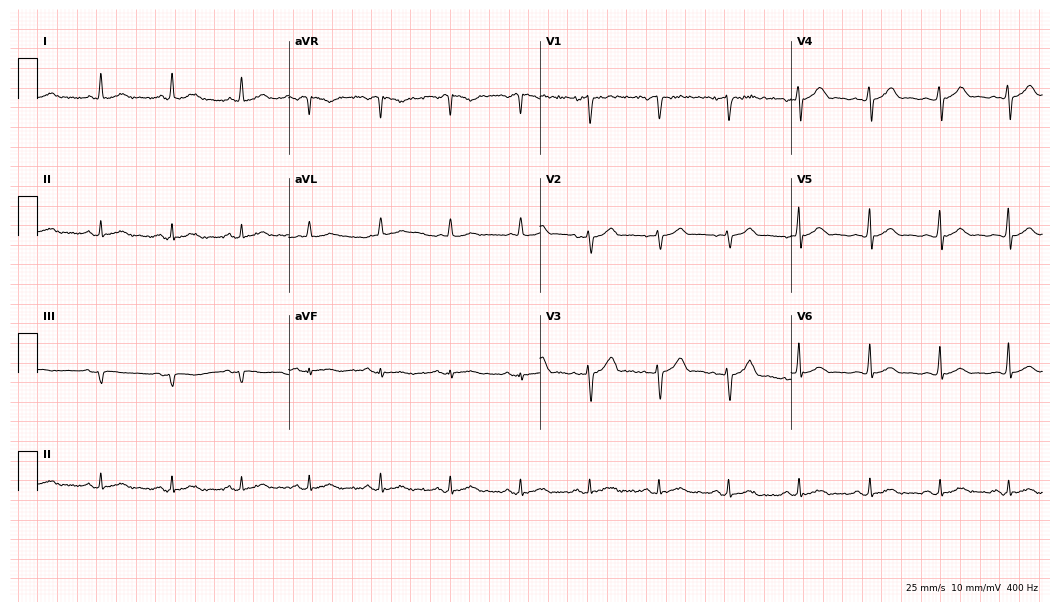
Standard 12-lead ECG recorded from a 47-year-old male patient. Read as a normal ECG.